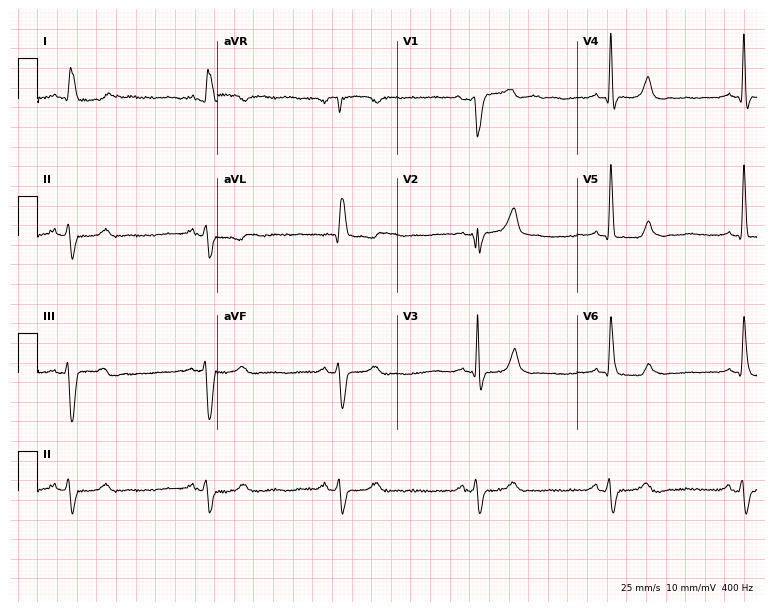
Resting 12-lead electrocardiogram. Patient: a male, 79 years old. The tracing shows left bundle branch block, sinus bradycardia (a sinus rate of 50 beats per minute or less).